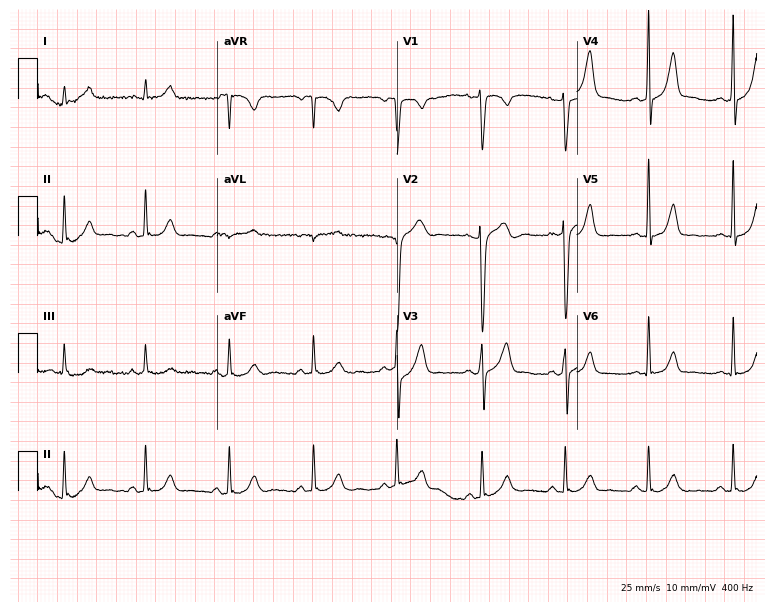
Electrocardiogram (7.3-second recording at 400 Hz), a 40-year-old male patient. Of the six screened findings (first-degree AV block, right bundle branch block, left bundle branch block, sinus bradycardia, atrial fibrillation, sinus tachycardia), none is recorded.